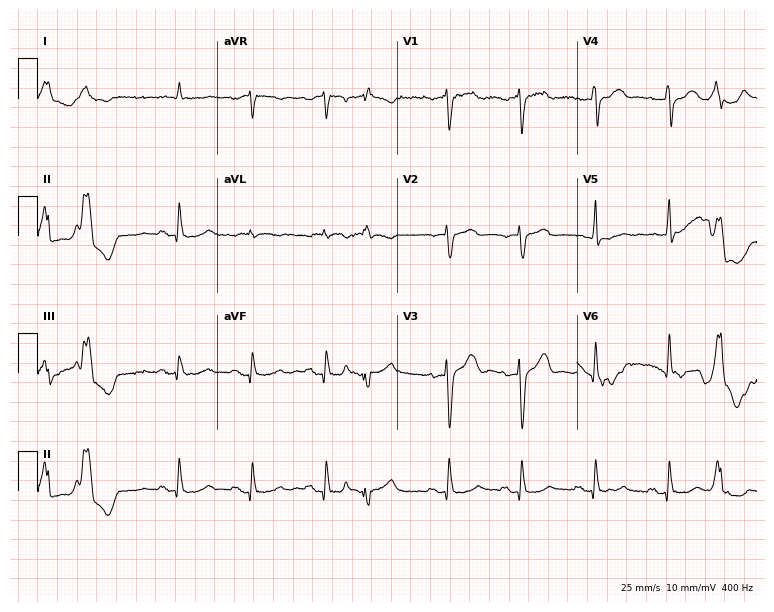
ECG — a male, 75 years old. Screened for six findings — first-degree AV block, right bundle branch block (RBBB), left bundle branch block (LBBB), sinus bradycardia, atrial fibrillation (AF), sinus tachycardia — none is recorded.